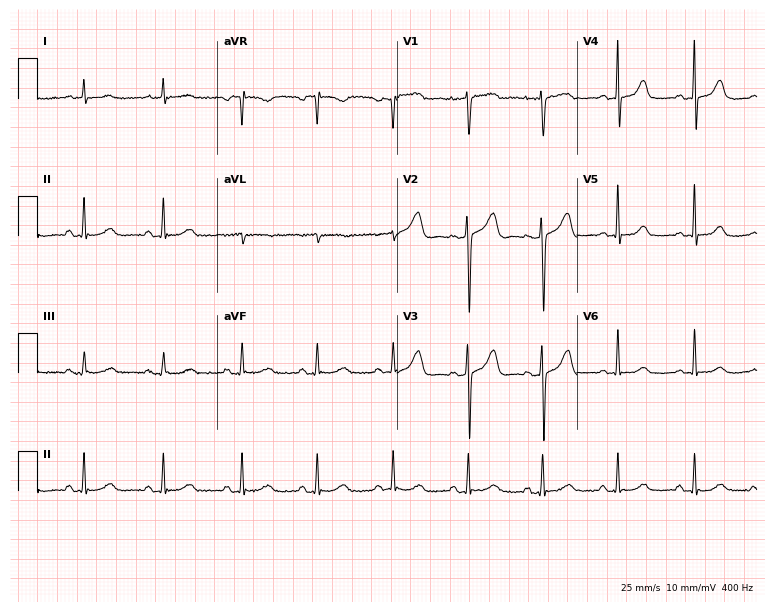
12-lead ECG from a 31-year-old woman (7.3-second recording at 400 Hz). Recorded interpretation: within normal limits.